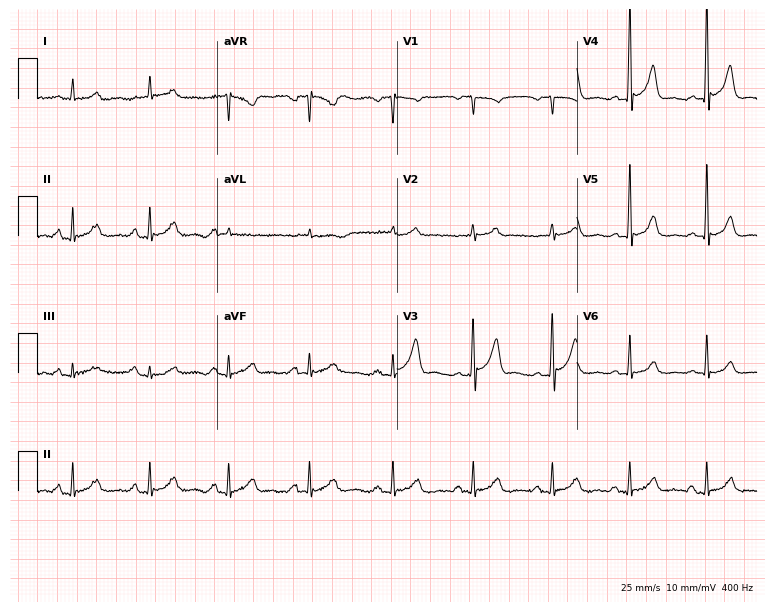
ECG — a 78-year-old male. Labelled as a normal ECG.